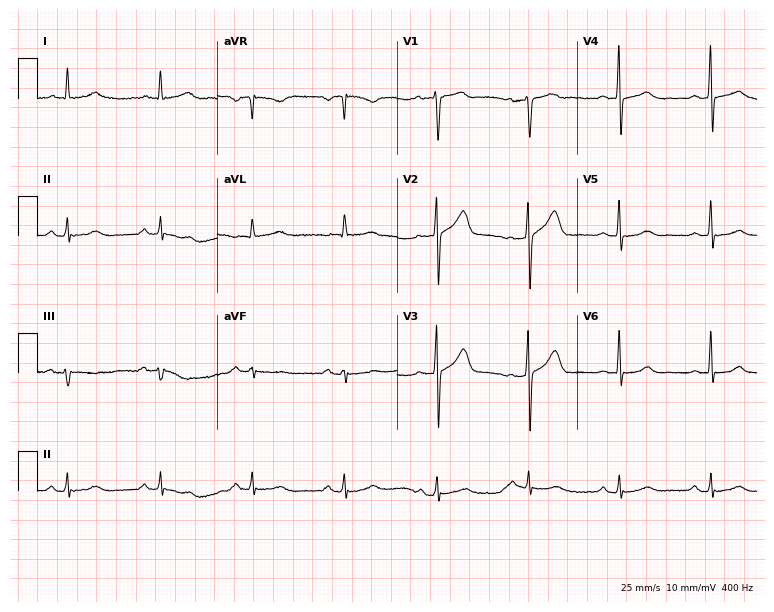
Resting 12-lead electrocardiogram (7.3-second recording at 400 Hz). Patient: a 64-year-old male. None of these six findings is recorded: first-degree AV block, right bundle branch block, left bundle branch block, sinus bradycardia, atrial fibrillation, sinus tachycardia.